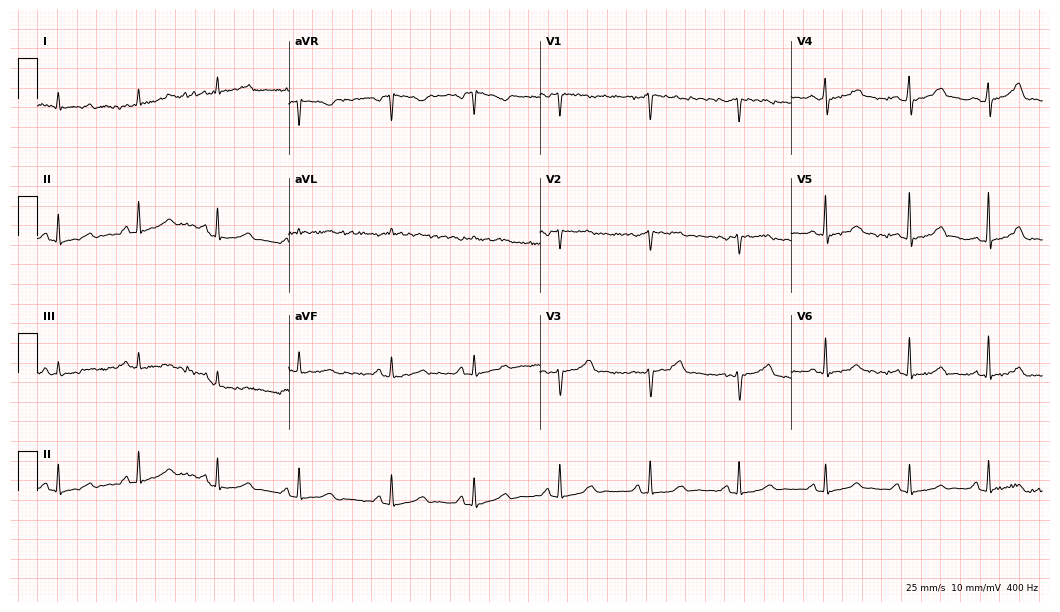
Electrocardiogram, a 51-year-old woman. Overall reading on record: normal ECG.